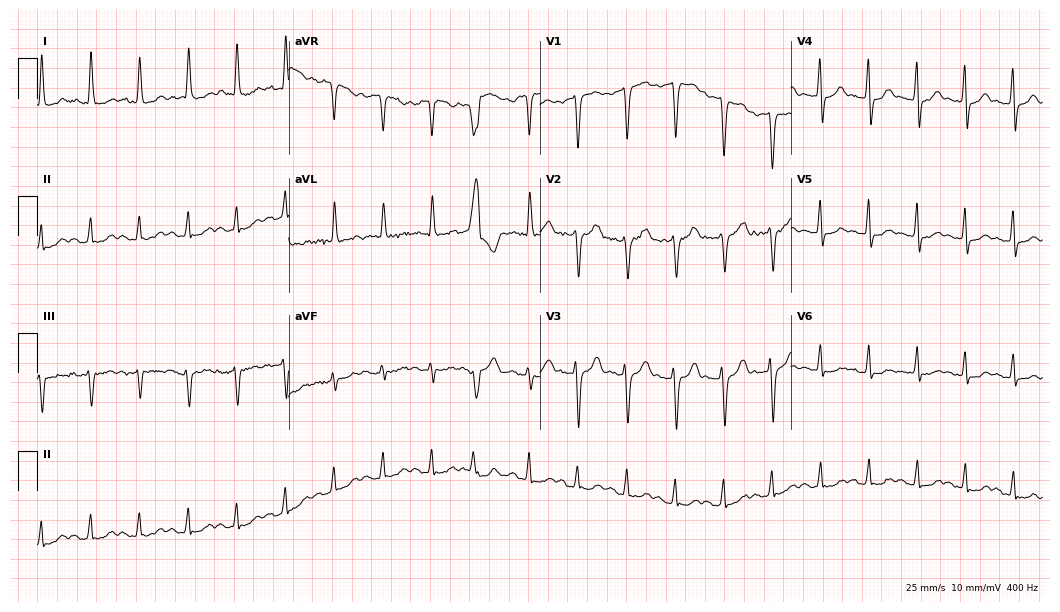
Resting 12-lead electrocardiogram (10.2-second recording at 400 Hz). Patient: a 61-year-old female. The tracing shows sinus tachycardia (a sinus rate of 100 beats per minute or more).